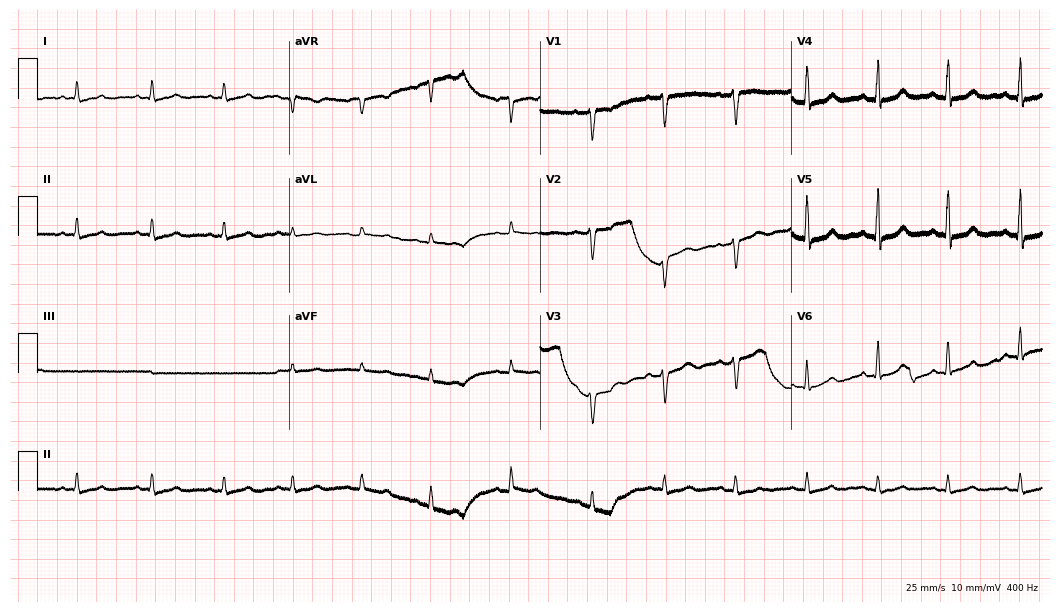
Standard 12-lead ECG recorded from a 64-year-old female patient. None of these six findings is recorded: first-degree AV block, right bundle branch block (RBBB), left bundle branch block (LBBB), sinus bradycardia, atrial fibrillation (AF), sinus tachycardia. Other findings, if any, are not listed.